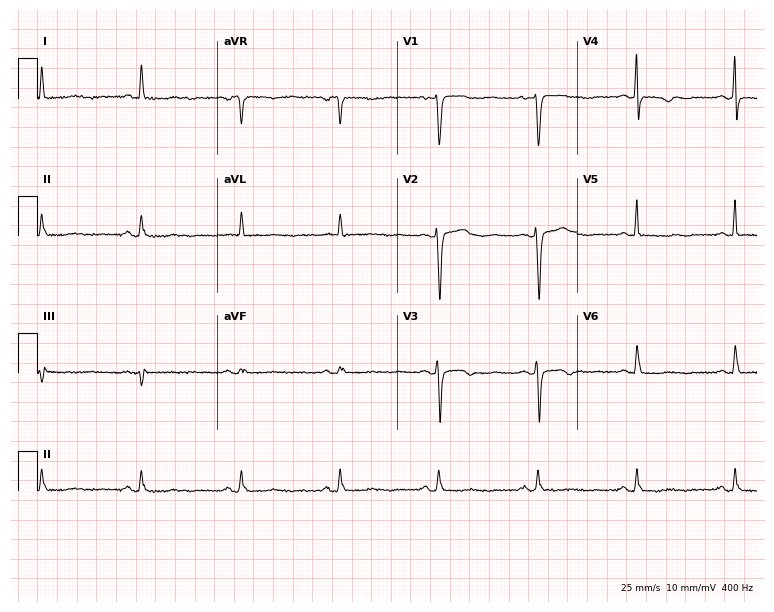
12-lead ECG (7.3-second recording at 400 Hz) from a woman, 51 years old. Screened for six findings — first-degree AV block, right bundle branch block, left bundle branch block, sinus bradycardia, atrial fibrillation, sinus tachycardia — none is recorded. Only these six findings were labelled.